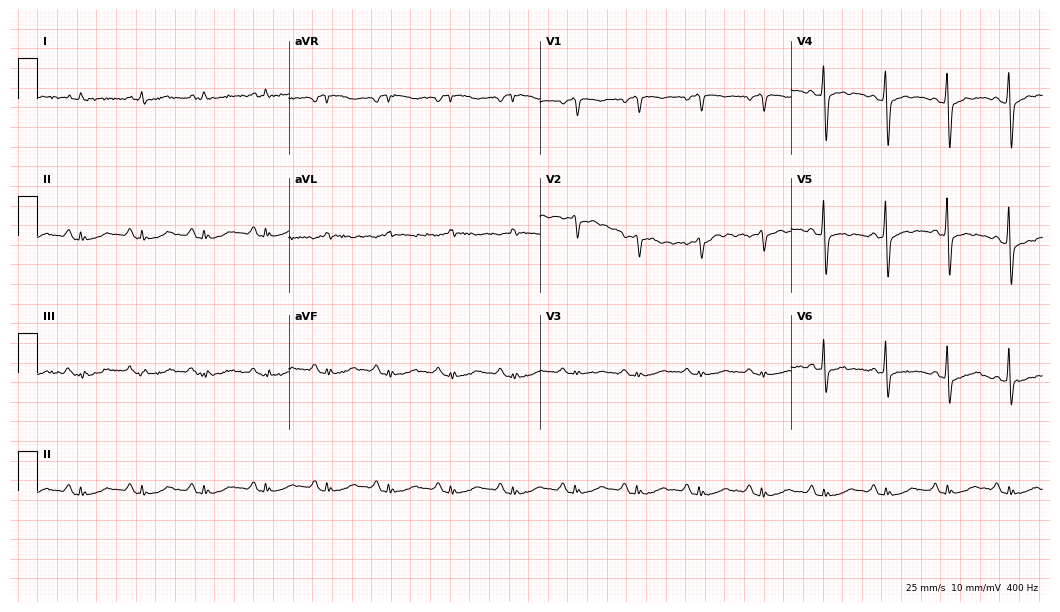
Standard 12-lead ECG recorded from a male, 78 years old (10.2-second recording at 400 Hz). None of these six findings is recorded: first-degree AV block, right bundle branch block, left bundle branch block, sinus bradycardia, atrial fibrillation, sinus tachycardia. Only these six findings were labelled.